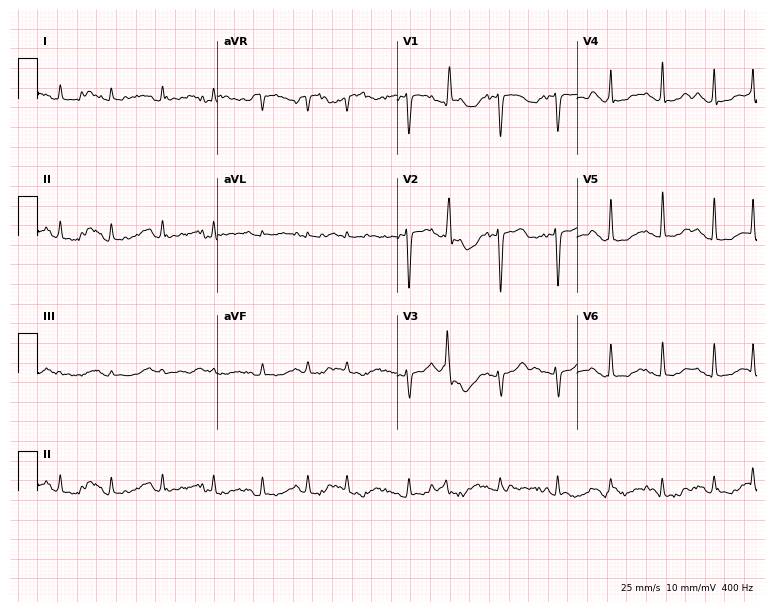
12-lead ECG from an 83-year-old woman. Findings include sinus tachycardia (a sinus rate of 100 beats per minute or more).